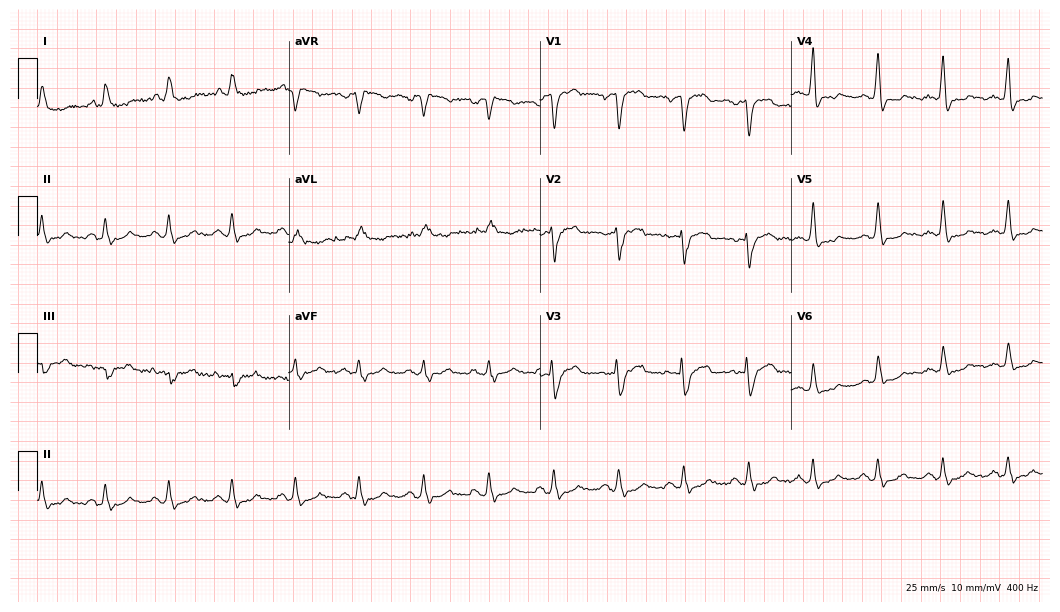
12-lead ECG from a female patient, 42 years old. Findings include left bundle branch block.